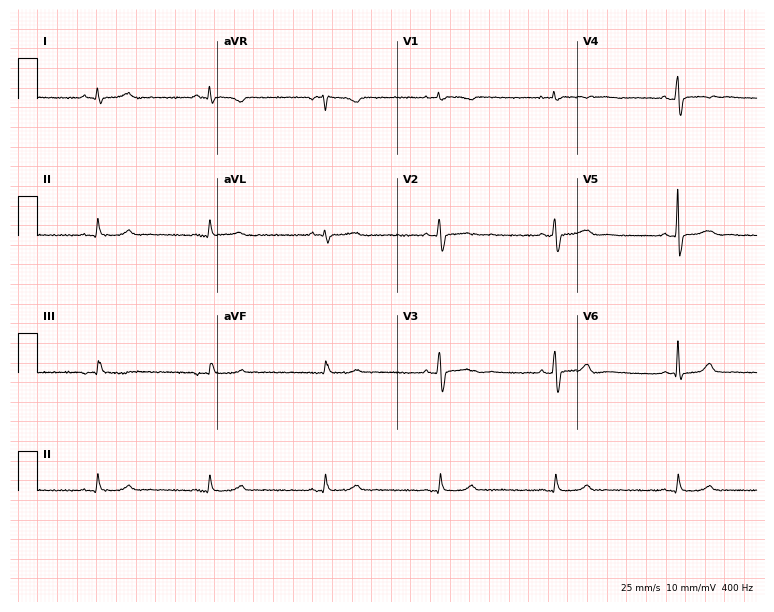
ECG (7.3-second recording at 400 Hz) — a woman, 60 years old. Screened for six findings — first-degree AV block, right bundle branch block, left bundle branch block, sinus bradycardia, atrial fibrillation, sinus tachycardia — none is recorded. Findings outside these six are not listed.